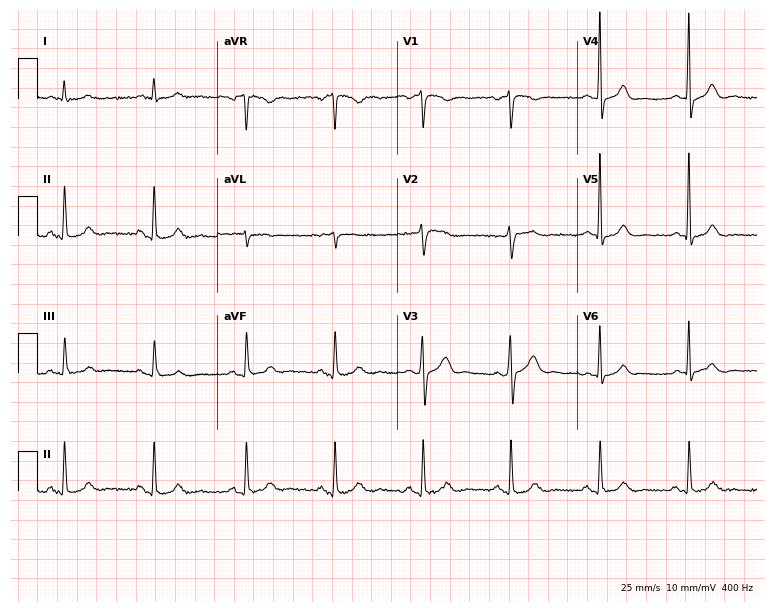
Standard 12-lead ECG recorded from a male patient, 58 years old. None of these six findings is recorded: first-degree AV block, right bundle branch block, left bundle branch block, sinus bradycardia, atrial fibrillation, sinus tachycardia.